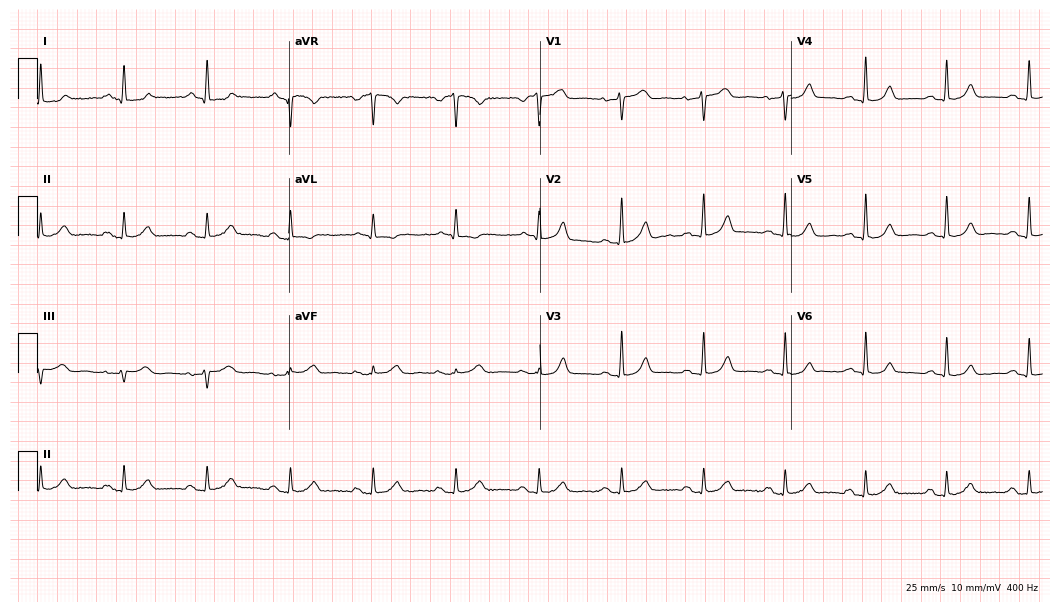
Electrocardiogram, a 62-year-old woman. Overall reading on record: normal ECG.